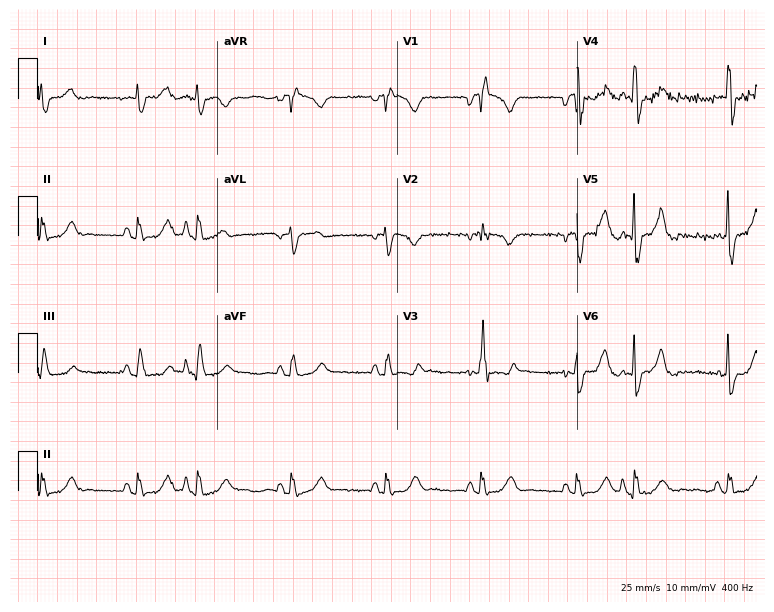
Standard 12-lead ECG recorded from a male patient, 83 years old. None of these six findings is recorded: first-degree AV block, right bundle branch block, left bundle branch block, sinus bradycardia, atrial fibrillation, sinus tachycardia.